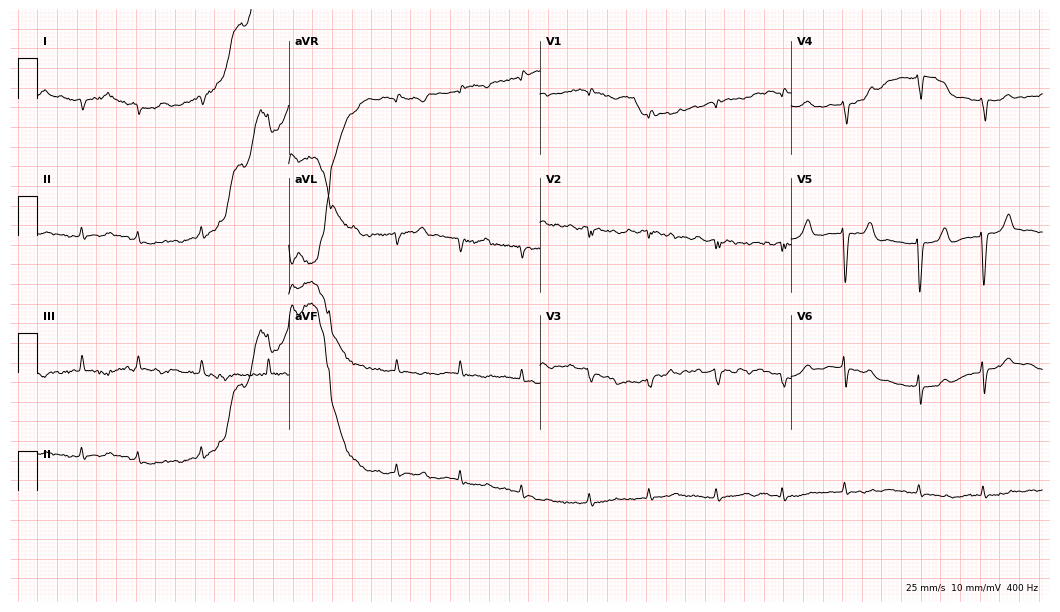
12-lead ECG from a female patient, 85 years old. Findings include atrial fibrillation.